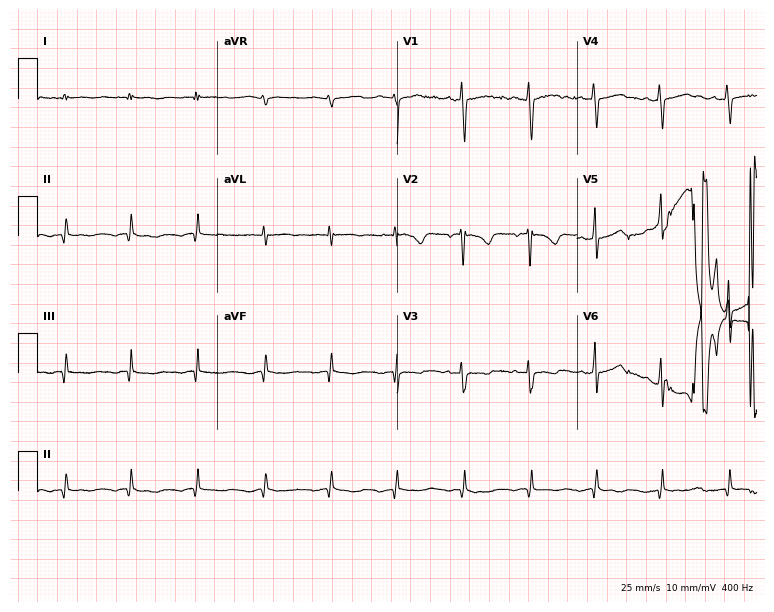
12-lead ECG from a woman, 18 years old. Recorded interpretation: within normal limits.